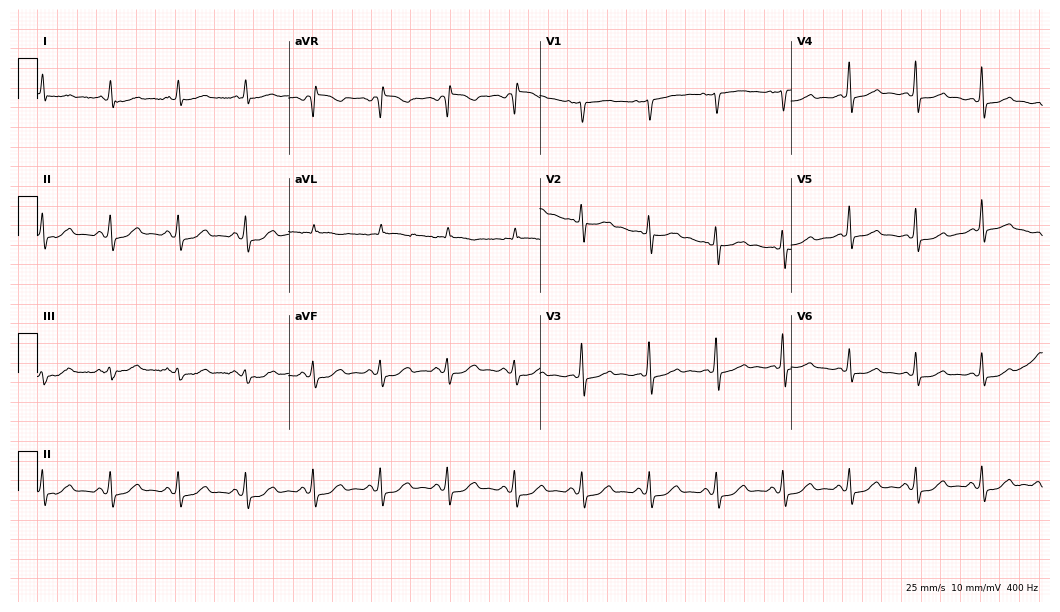
Resting 12-lead electrocardiogram. Patient: a 60-year-old woman. None of these six findings is recorded: first-degree AV block, right bundle branch block (RBBB), left bundle branch block (LBBB), sinus bradycardia, atrial fibrillation (AF), sinus tachycardia. Other findings, if any, are not listed.